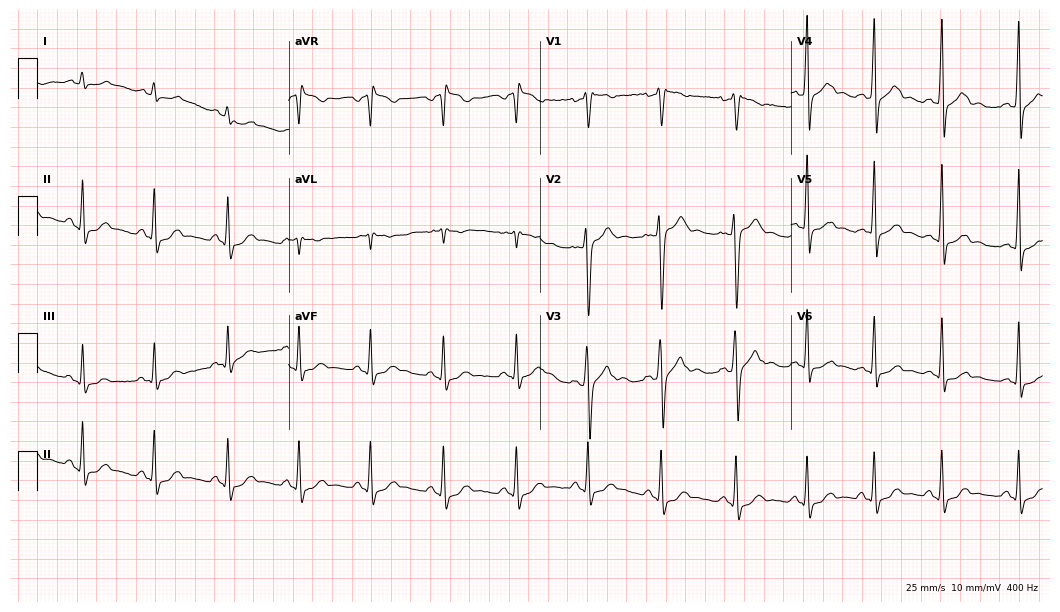
12-lead ECG from a 23-year-old man (10.2-second recording at 400 Hz). No first-degree AV block, right bundle branch block (RBBB), left bundle branch block (LBBB), sinus bradycardia, atrial fibrillation (AF) or sinus tachycardia recorded for this tracing. Findings outside these six are not listed.